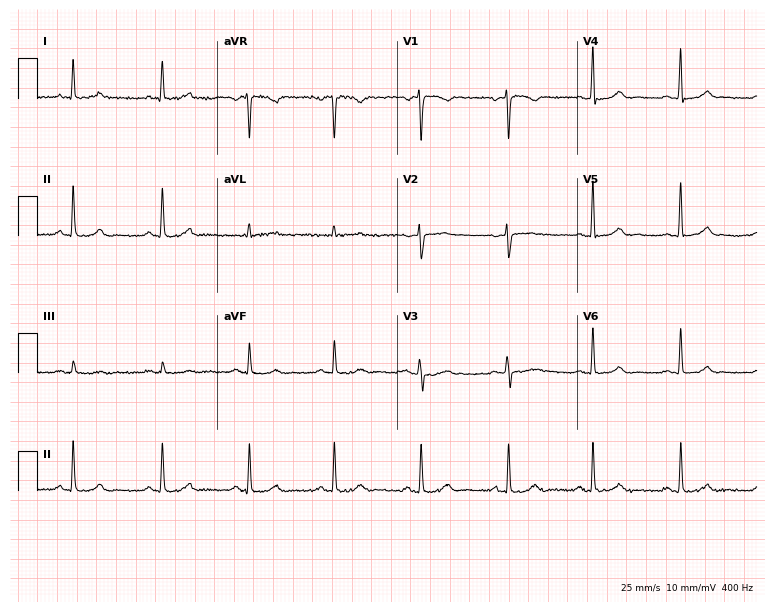
Resting 12-lead electrocardiogram. Patient: a woman, 40 years old. Read as a normal ECG.